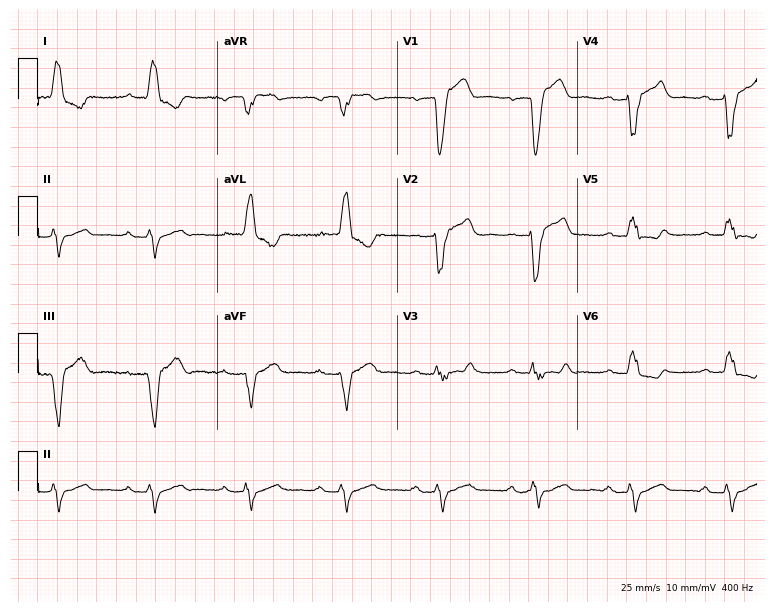
Electrocardiogram, a male patient, 82 years old. Of the six screened findings (first-degree AV block, right bundle branch block, left bundle branch block, sinus bradycardia, atrial fibrillation, sinus tachycardia), none is recorded.